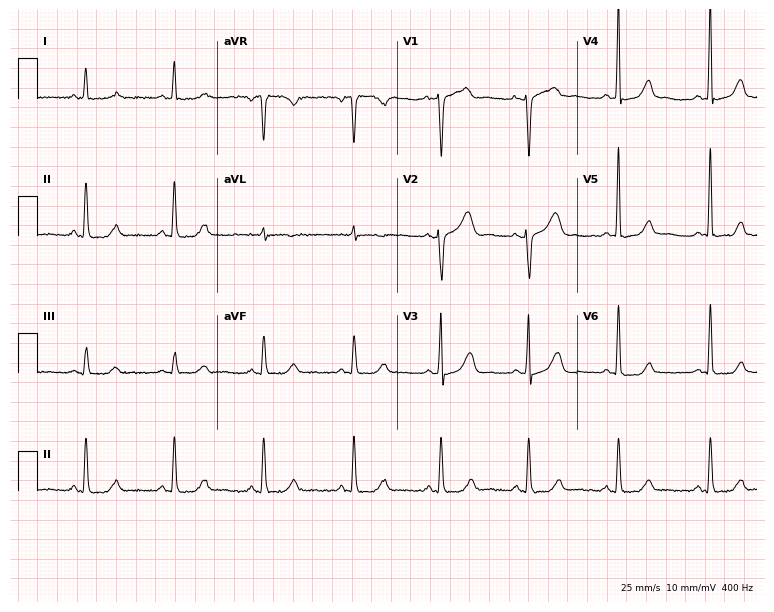
Standard 12-lead ECG recorded from a woman, 51 years old (7.3-second recording at 400 Hz). None of these six findings is recorded: first-degree AV block, right bundle branch block (RBBB), left bundle branch block (LBBB), sinus bradycardia, atrial fibrillation (AF), sinus tachycardia.